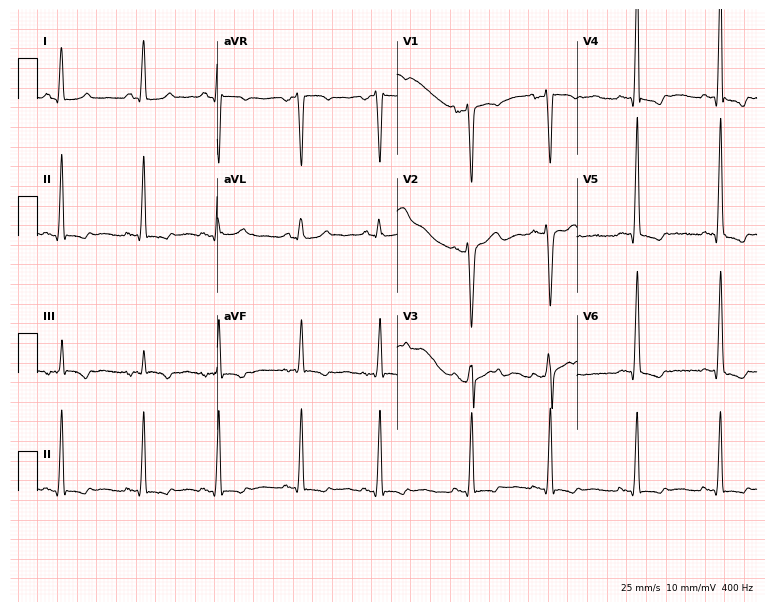
ECG — a woman, 24 years old. Screened for six findings — first-degree AV block, right bundle branch block, left bundle branch block, sinus bradycardia, atrial fibrillation, sinus tachycardia — none is recorded.